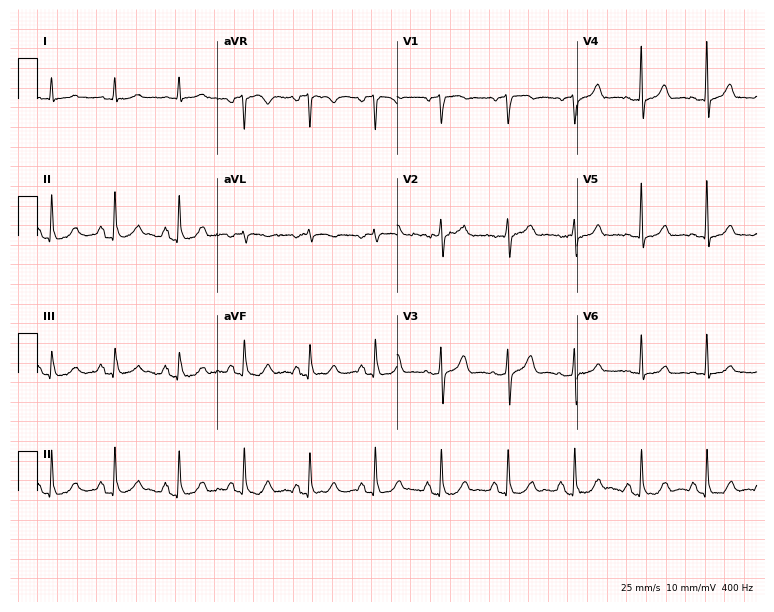
Standard 12-lead ECG recorded from a 72-year-old female (7.3-second recording at 400 Hz). Read as a normal ECG.